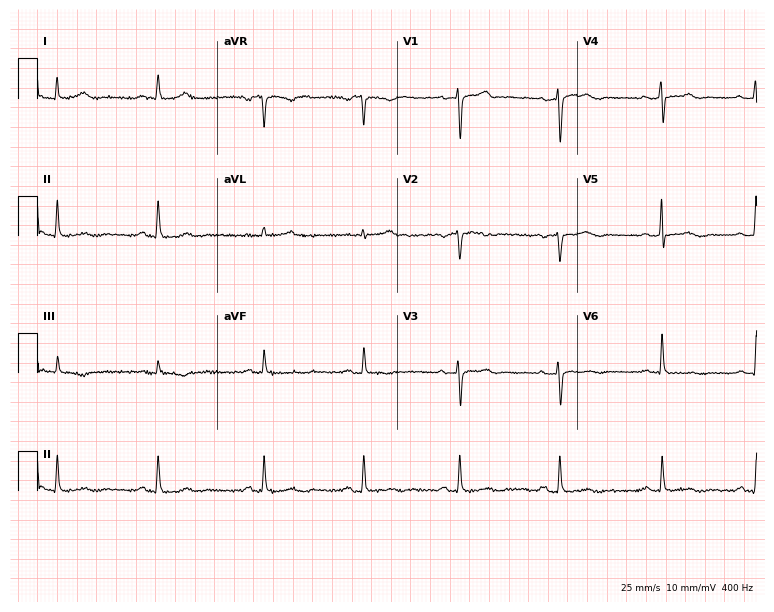
ECG — a woman, 39 years old. Labelled as a normal ECG.